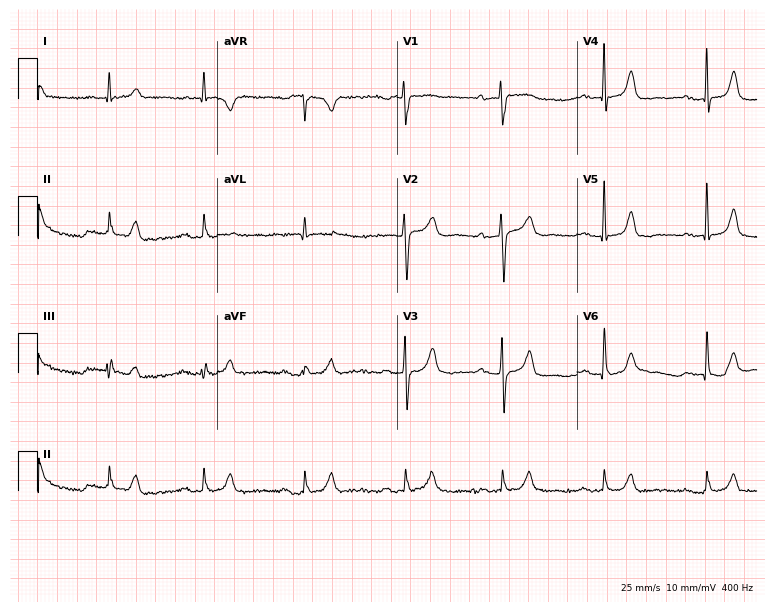
Resting 12-lead electrocardiogram. Patient: a 72-year-old male. Read as a normal ECG.